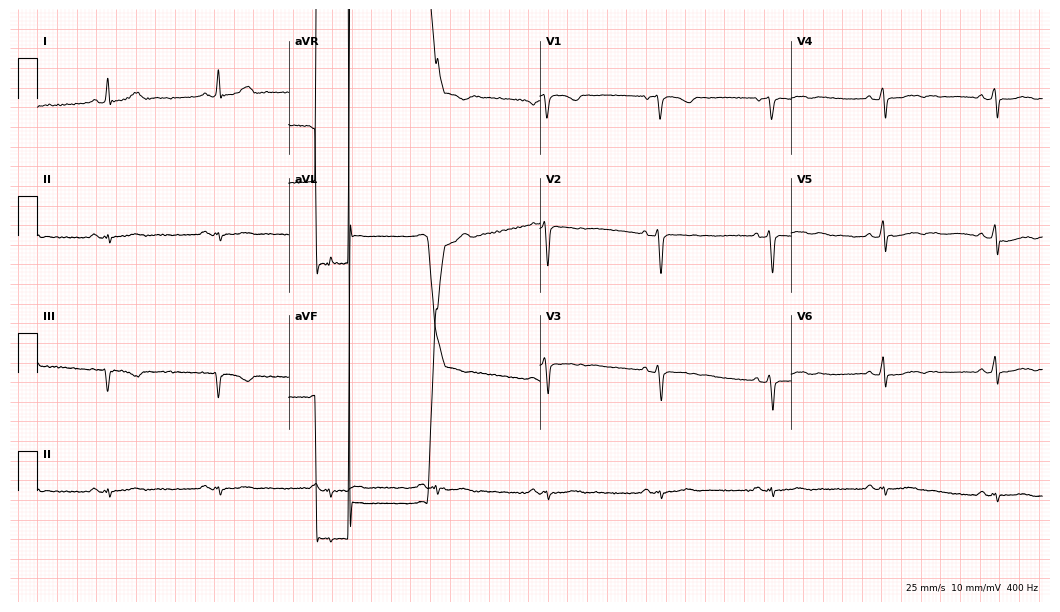
Resting 12-lead electrocardiogram (10.2-second recording at 400 Hz). Patient: a woman, 56 years old. None of these six findings is recorded: first-degree AV block, right bundle branch block, left bundle branch block, sinus bradycardia, atrial fibrillation, sinus tachycardia.